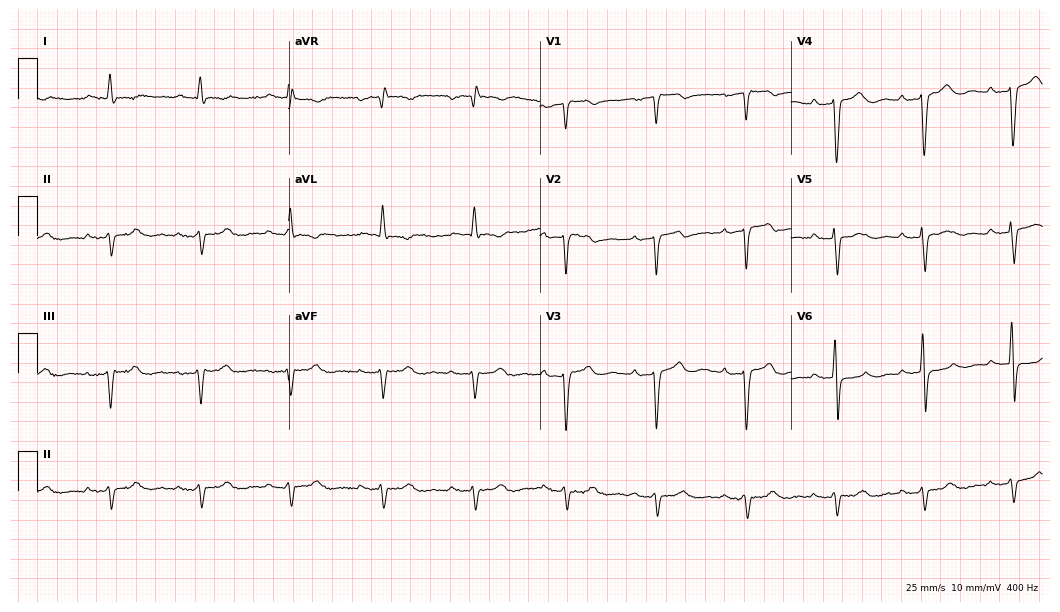
Electrocardiogram (10.2-second recording at 400 Hz), a man, 83 years old. Interpretation includes first-degree AV block.